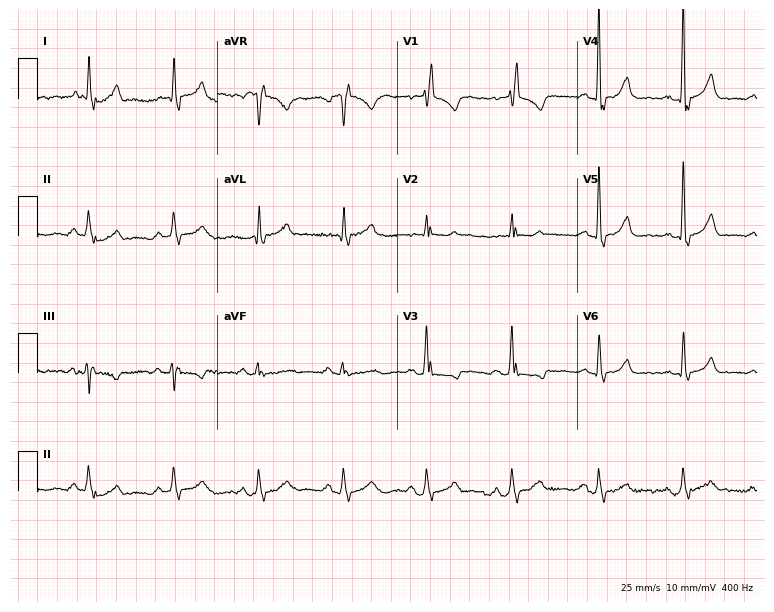
12-lead ECG (7.3-second recording at 400 Hz) from a female, 78 years old. Findings include right bundle branch block.